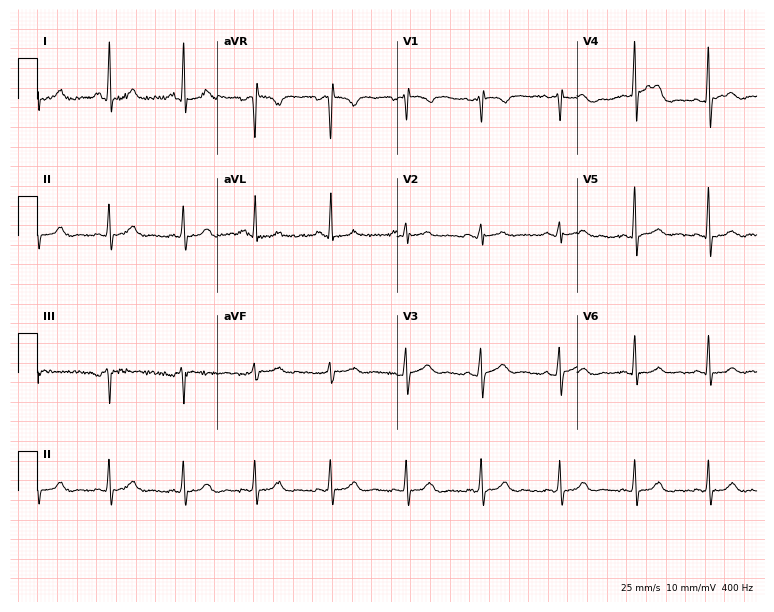
ECG — a woman, 34 years old. Labelled as a normal ECG.